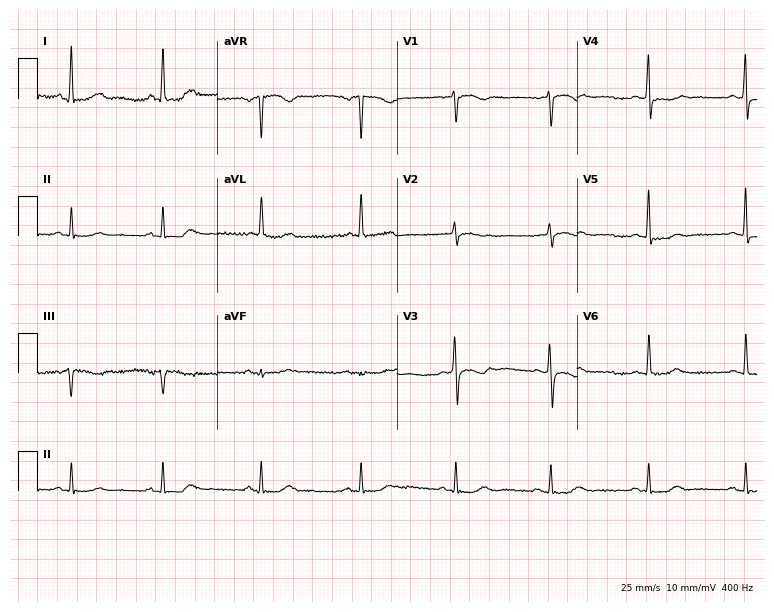
Resting 12-lead electrocardiogram (7.3-second recording at 400 Hz). Patient: a female, 64 years old. None of these six findings is recorded: first-degree AV block, right bundle branch block (RBBB), left bundle branch block (LBBB), sinus bradycardia, atrial fibrillation (AF), sinus tachycardia.